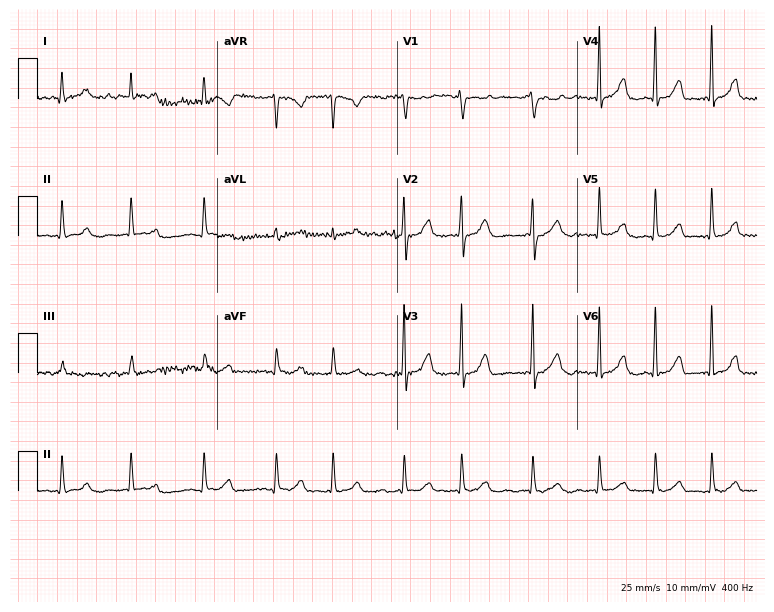
ECG (7.3-second recording at 400 Hz) — a female, 72 years old. Findings include atrial fibrillation (AF).